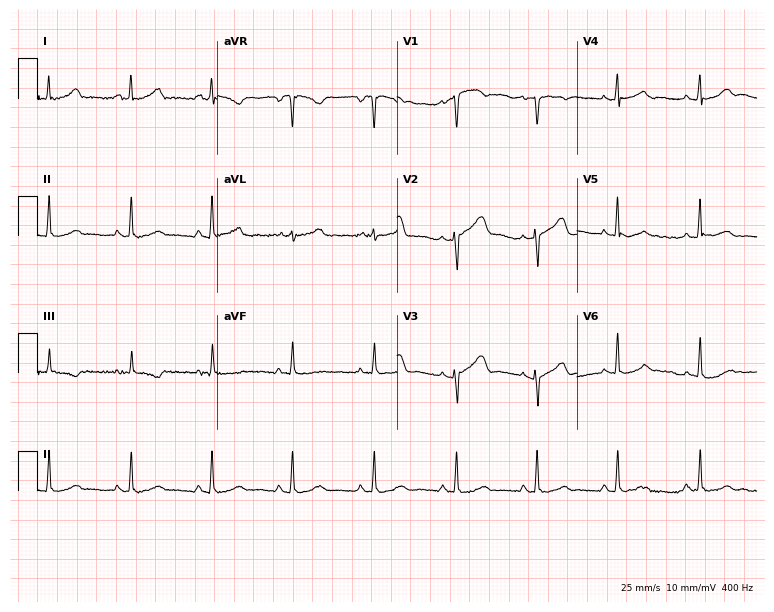
12-lead ECG from a 52-year-old woman. Screened for six findings — first-degree AV block, right bundle branch block, left bundle branch block, sinus bradycardia, atrial fibrillation, sinus tachycardia — none is recorded. Only these six findings were labelled.